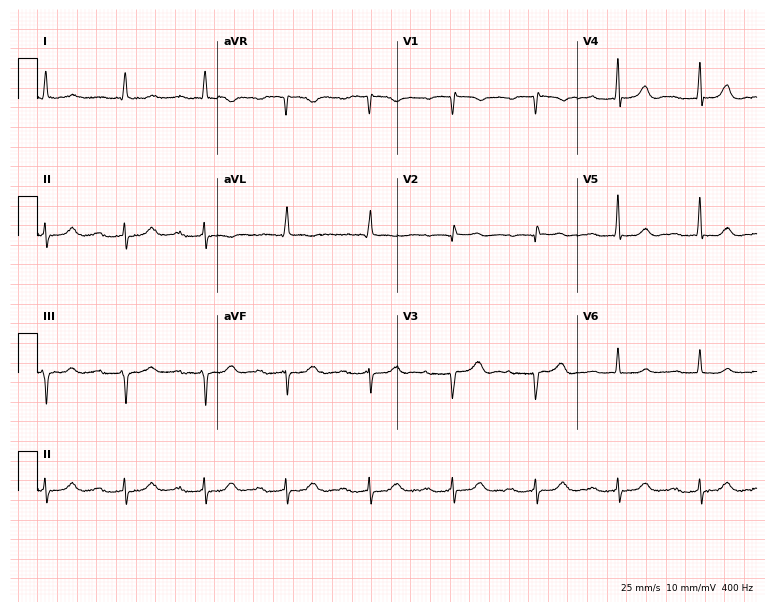
Electrocardiogram (7.3-second recording at 400 Hz), a woman, 85 years old. Interpretation includes first-degree AV block.